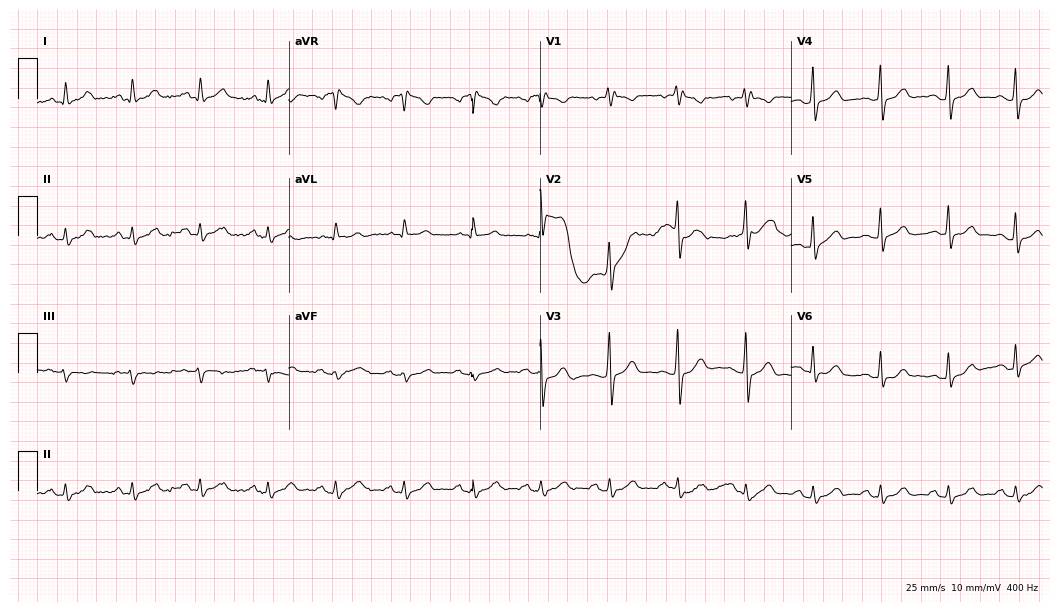
12-lead ECG (10.2-second recording at 400 Hz) from a 48-year-old man. Screened for six findings — first-degree AV block, right bundle branch block (RBBB), left bundle branch block (LBBB), sinus bradycardia, atrial fibrillation (AF), sinus tachycardia — none is recorded. Only these six findings were labelled.